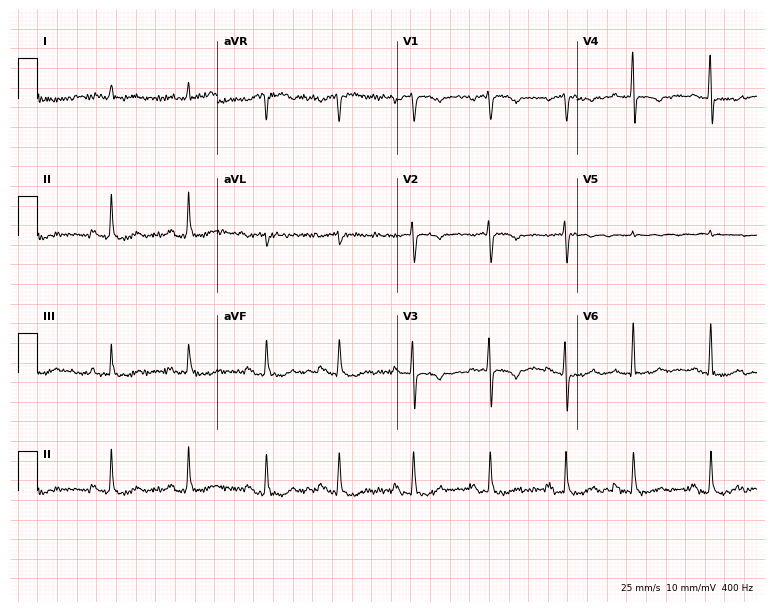
Electrocardiogram, a man, 77 years old. Of the six screened findings (first-degree AV block, right bundle branch block, left bundle branch block, sinus bradycardia, atrial fibrillation, sinus tachycardia), none is recorded. Only these six findings were labelled.